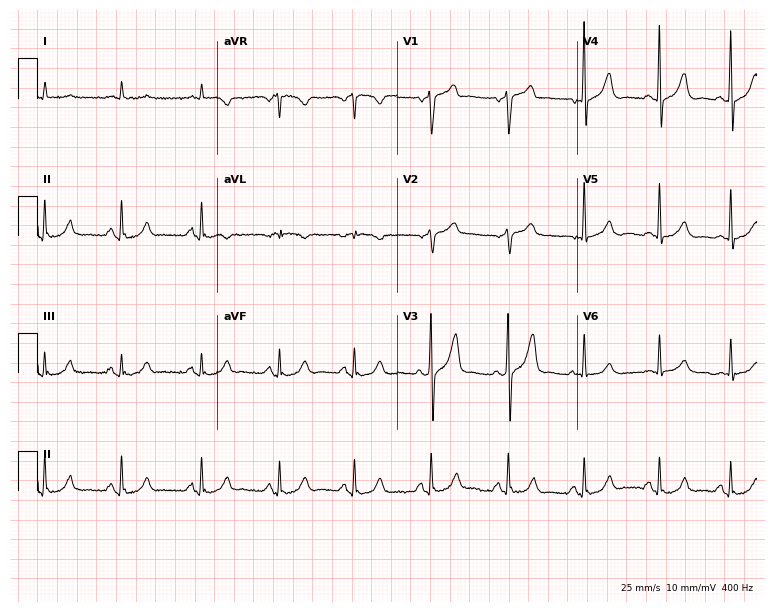
ECG (7.3-second recording at 400 Hz) — a 64-year-old man. Labelled as a normal ECG.